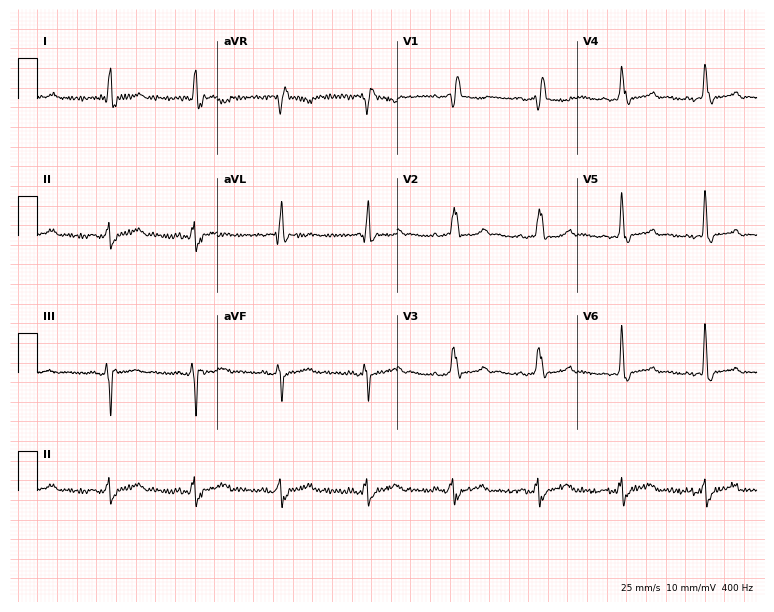
Standard 12-lead ECG recorded from a 74-year-old female. The tracing shows right bundle branch block (RBBB).